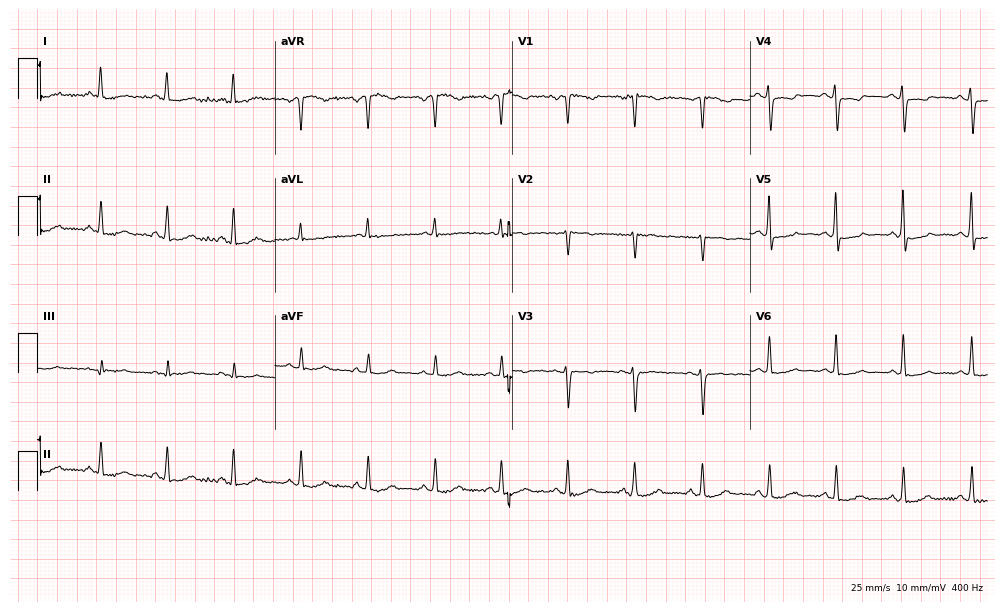
12-lead ECG from a woman, 61 years old. No first-degree AV block, right bundle branch block (RBBB), left bundle branch block (LBBB), sinus bradycardia, atrial fibrillation (AF) or sinus tachycardia recorded for this tracing. Findings outside these six are not listed.